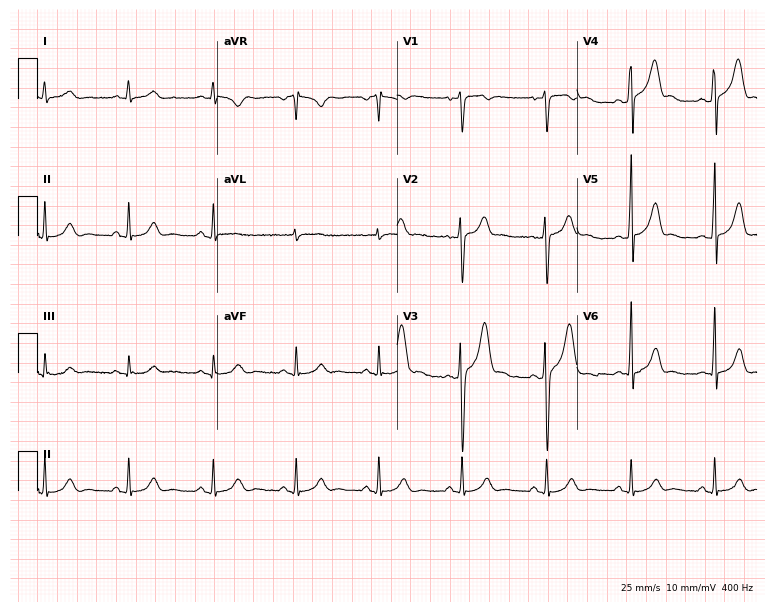
Standard 12-lead ECG recorded from a male, 39 years old (7.3-second recording at 400 Hz). Read as a normal ECG.